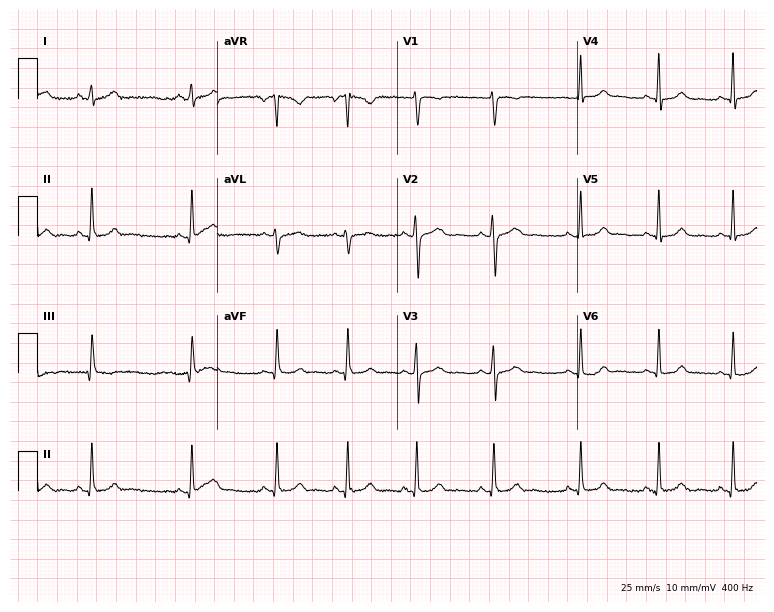
Resting 12-lead electrocardiogram (7.3-second recording at 400 Hz). Patient: a 20-year-old female. None of these six findings is recorded: first-degree AV block, right bundle branch block, left bundle branch block, sinus bradycardia, atrial fibrillation, sinus tachycardia.